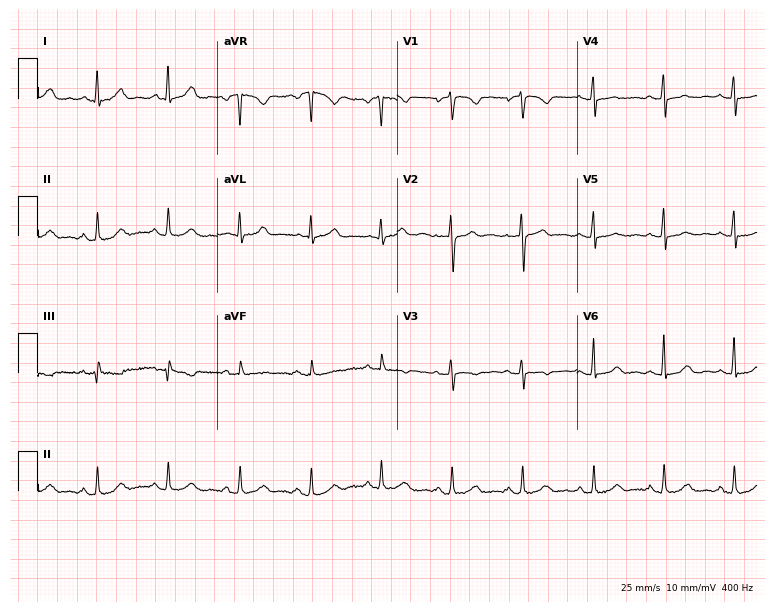
Standard 12-lead ECG recorded from a female, 52 years old (7.3-second recording at 400 Hz). None of these six findings is recorded: first-degree AV block, right bundle branch block, left bundle branch block, sinus bradycardia, atrial fibrillation, sinus tachycardia.